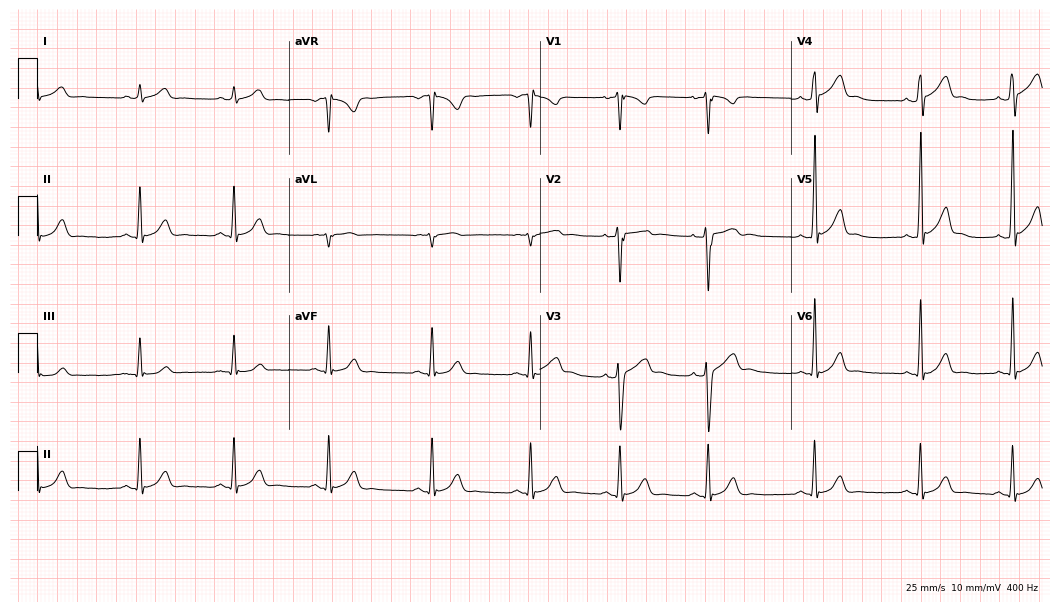
Resting 12-lead electrocardiogram (10.2-second recording at 400 Hz). Patient: a male, 28 years old. None of these six findings is recorded: first-degree AV block, right bundle branch block, left bundle branch block, sinus bradycardia, atrial fibrillation, sinus tachycardia. Other findings, if any, are not listed.